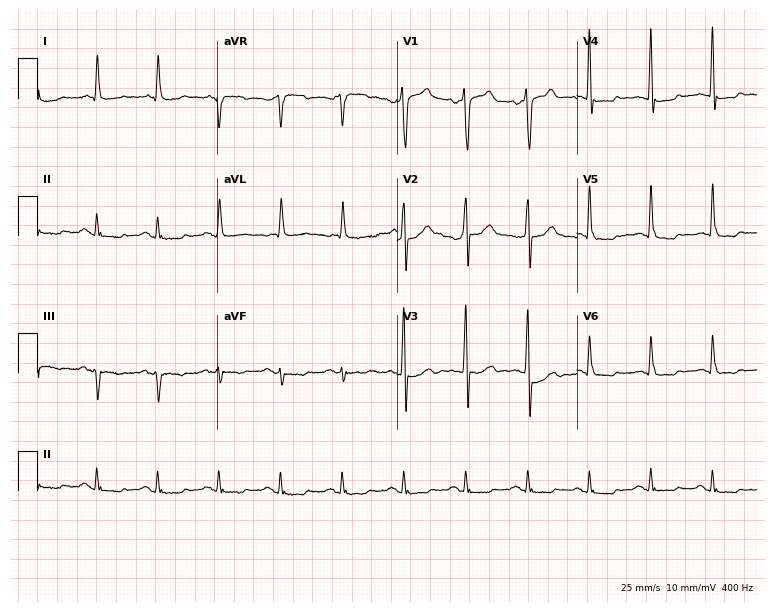
Standard 12-lead ECG recorded from a 71-year-old man. None of these six findings is recorded: first-degree AV block, right bundle branch block, left bundle branch block, sinus bradycardia, atrial fibrillation, sinus tachycardia.